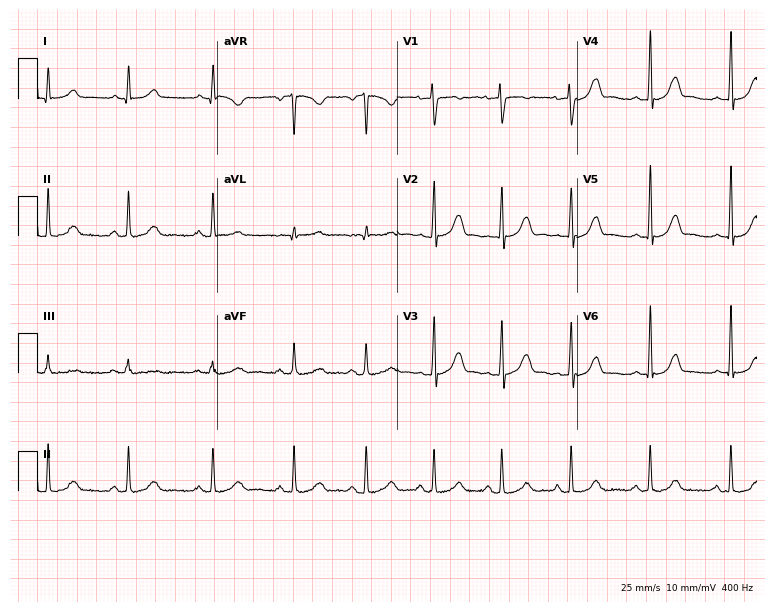
12-lead ECG (7.3-second recording at 400 Hz) from a female, 43 years old. Labelled as a normal ECG.